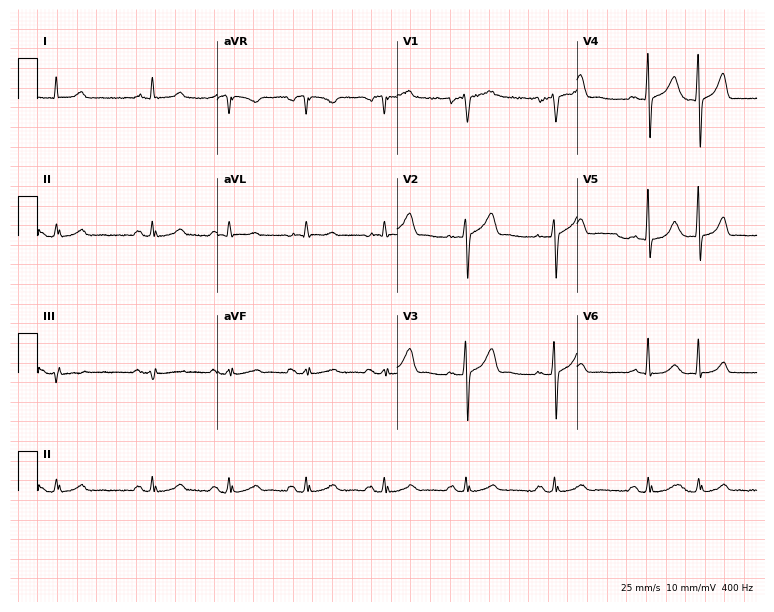
12-lead ECG from a man, 76 years old. No first-degree AV block, right bundle branch block (RBBB), left bundle branch block (LBBB), sinus bradycardia, atrial fibrillation (AF) or sinus tachycardia recorded for this tracing. Other findings, if any, are not listed.